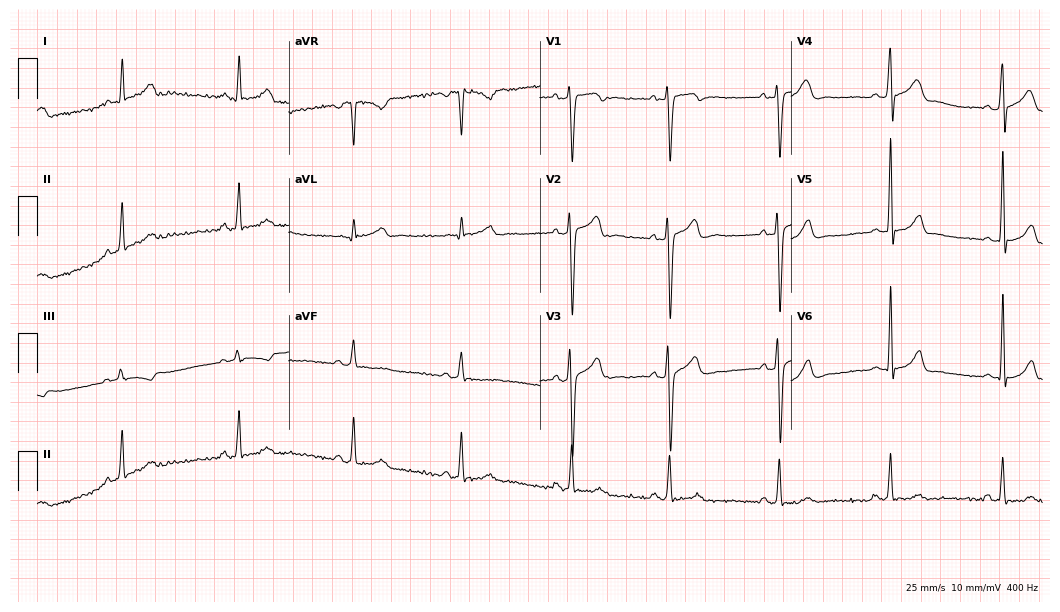
12-lead ECG from a 38-year-old male patient. Labelled as a normal ECG.